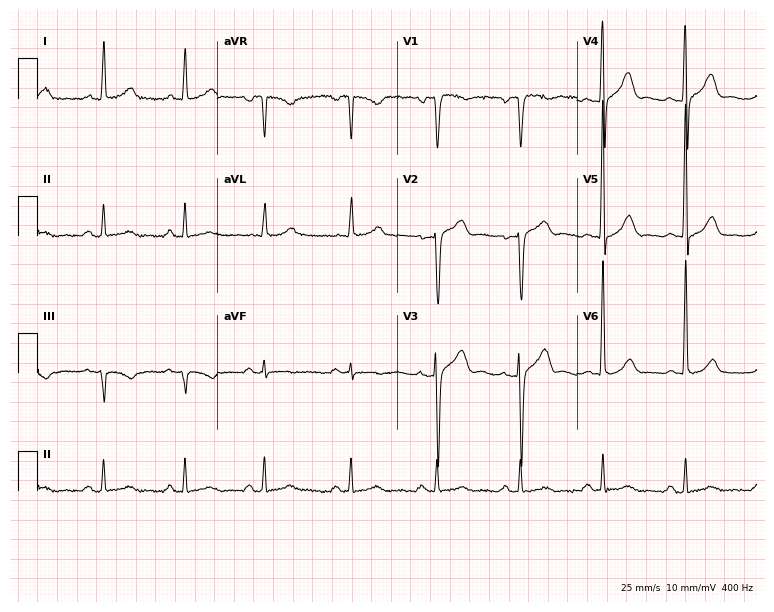
12-lead ECG from a male, 41 years old. No first-degree AV block, right bundle branch block (RBBB), left bundle branch block (LBBB), sinus bradycardia, atrial fibrillation (AF) or sinus tachycardia recorded for this tracing. Findings outside these six are not listed.